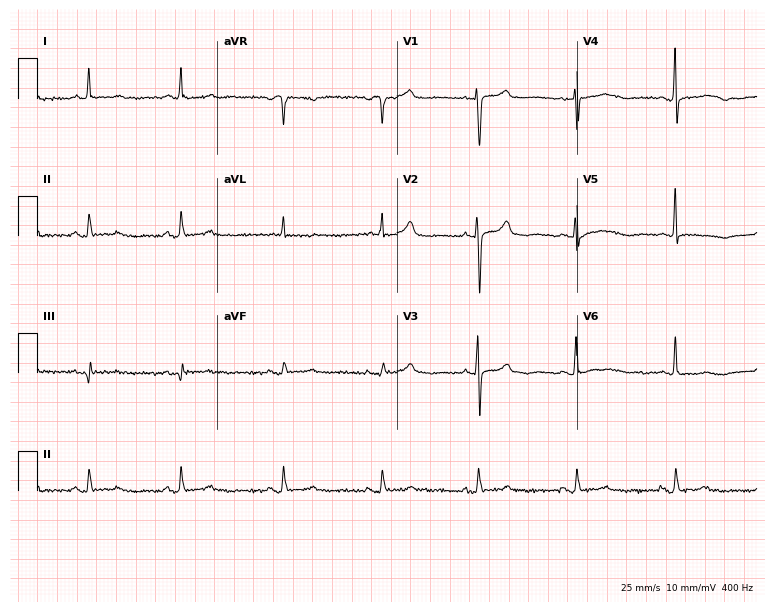
Standard 12-lead ECG recorded from a woman, 72 years old (7.3-second recording at 400 Hz). None of these six findings is recorded: first-degree AV block, right bundle branch block (RBBB), left bundle branch block (LBBB), sinus bradycardia, atrial fibrillation (AF), sinus tachycardia. Other findings, if any, are not listed.